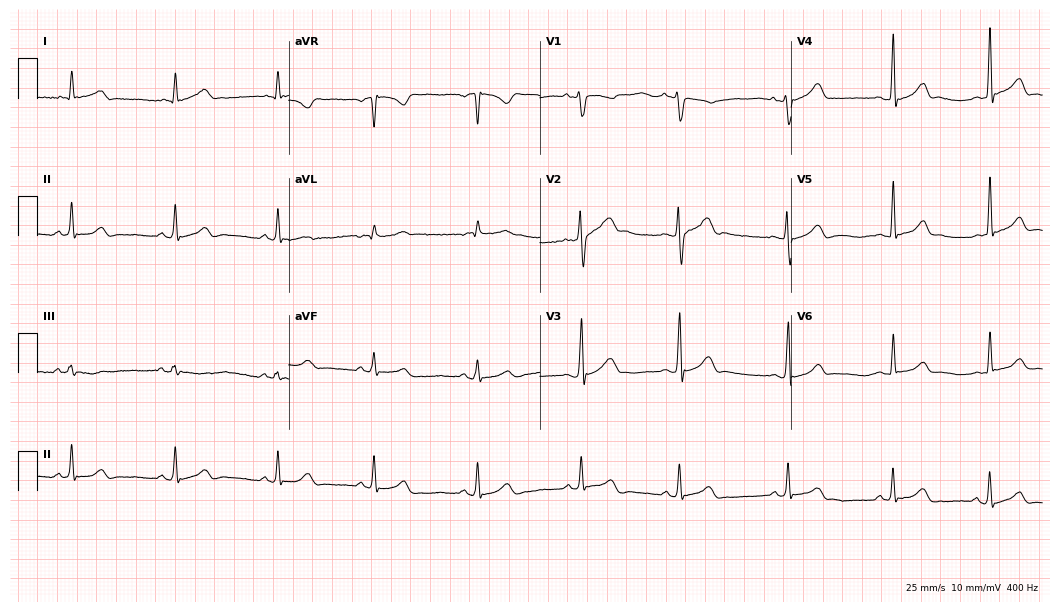
ECG (10.2-second recording at 400 Hz) — a 26-year-old male patient. Labelled as a normal ECG.